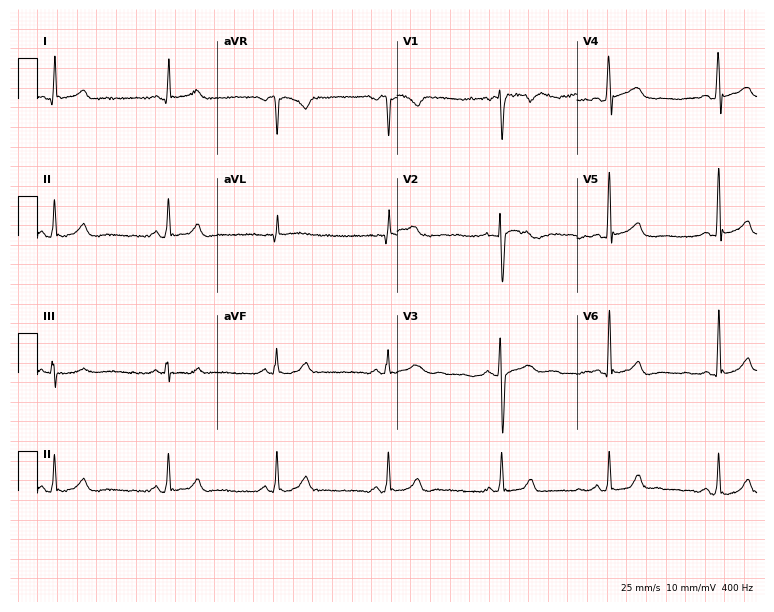
Standard 12-lead ECG recorded from an 18-year-old male patient (7.3-second recording at 400 Hz). Read as a normal ECG.